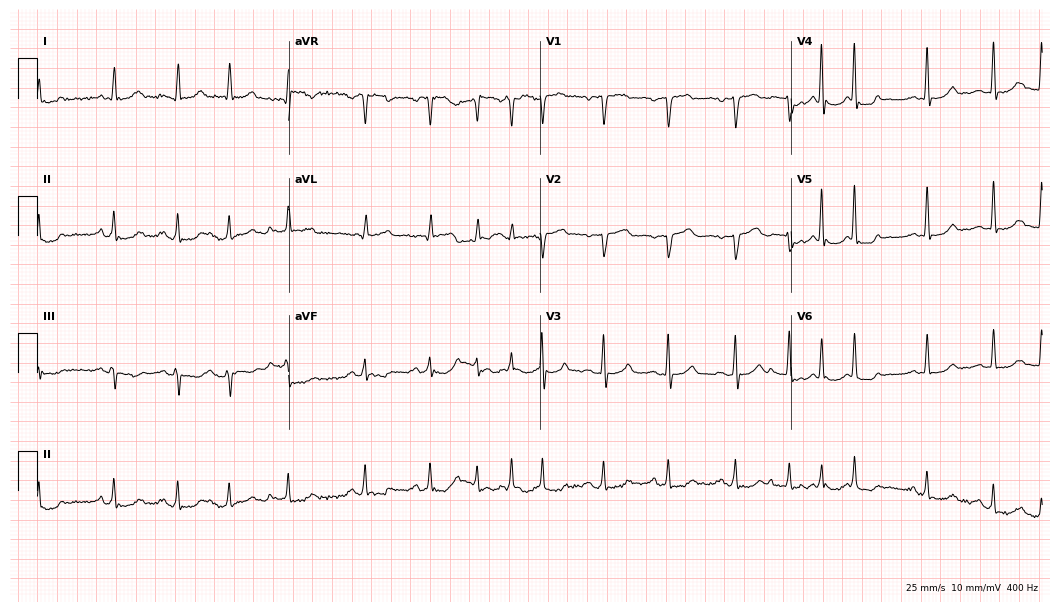
ECG — a female, 45 years old. Findings include sinus tachycardia (a sinus rate of 100 beats per minute or more).